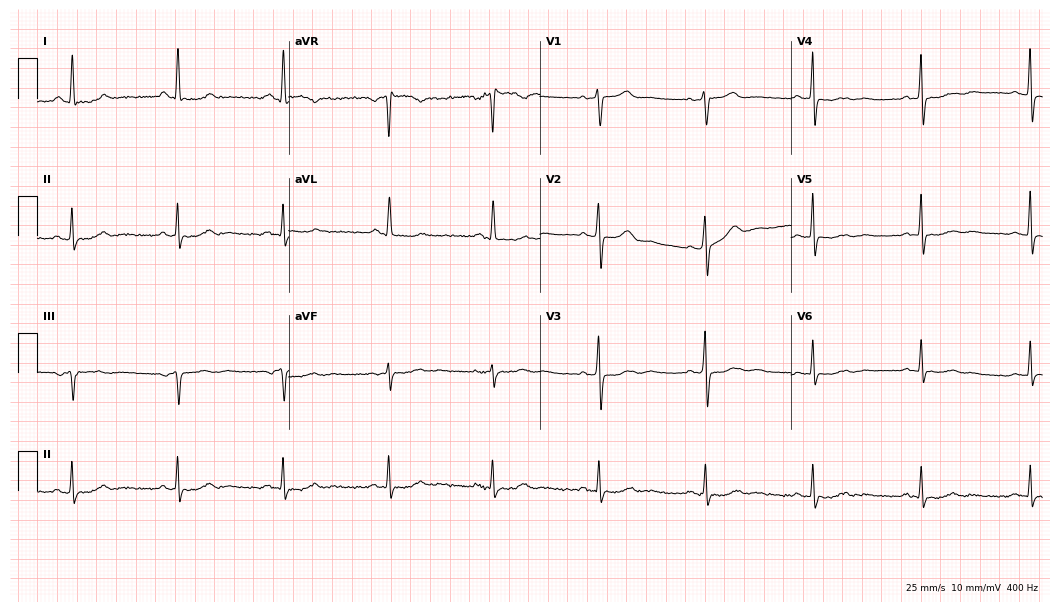
Electrocardiogram, a 68-year-old female. Overall reading on record: normal ECG.